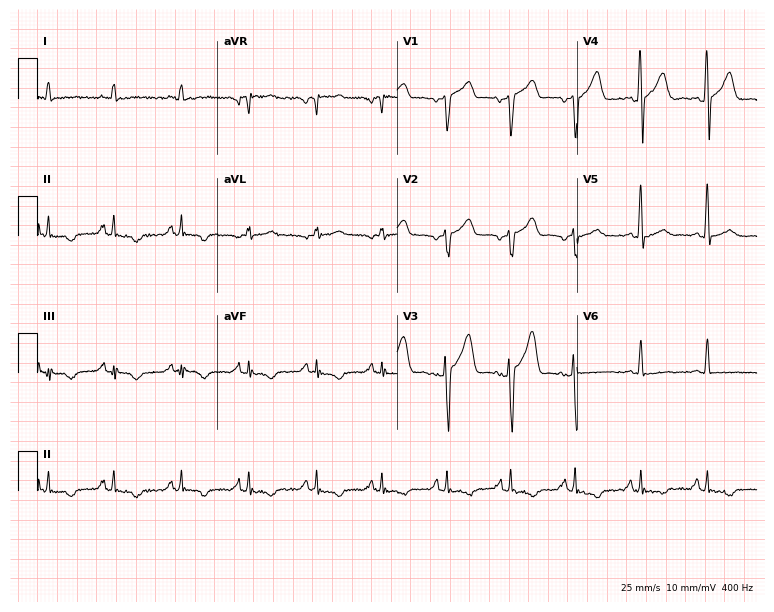
12-lead ECG from a 51-year-old man (7.3-second recording at 400 Hz). No first-degree AV block, right bundle branch block (RBBB), left bundle branch block (LBBB), sinus bradycardia, atrial fibrillation (AF) or sinus tachycardia recorded for this tracing. Other findings, if any, are not listed.